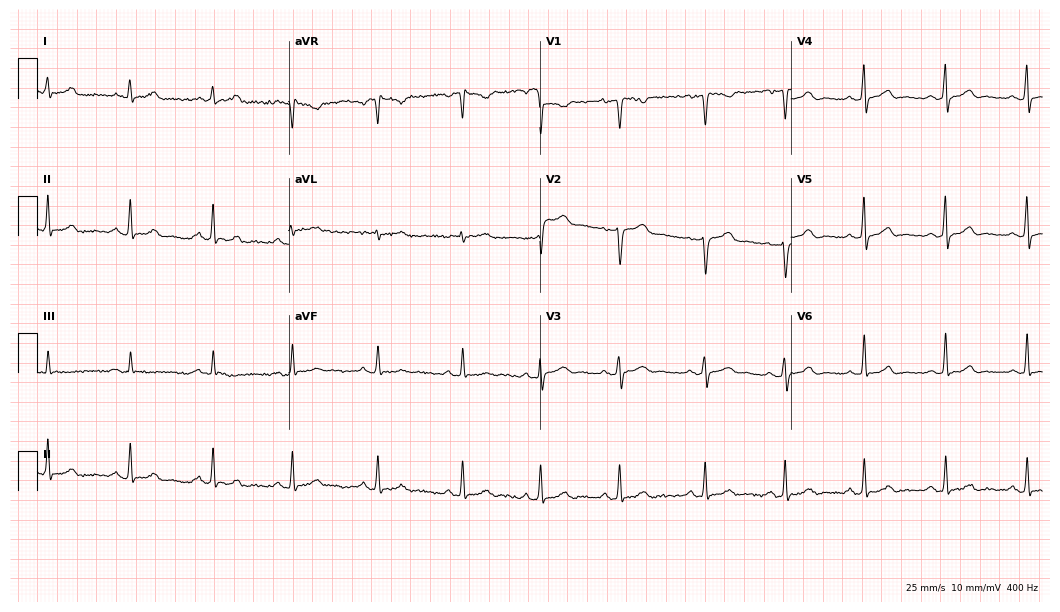
12-lead ECG from a 34-year-old female (10.2-second recording at 400 Hz). Recorded interpretation: within normal limits.